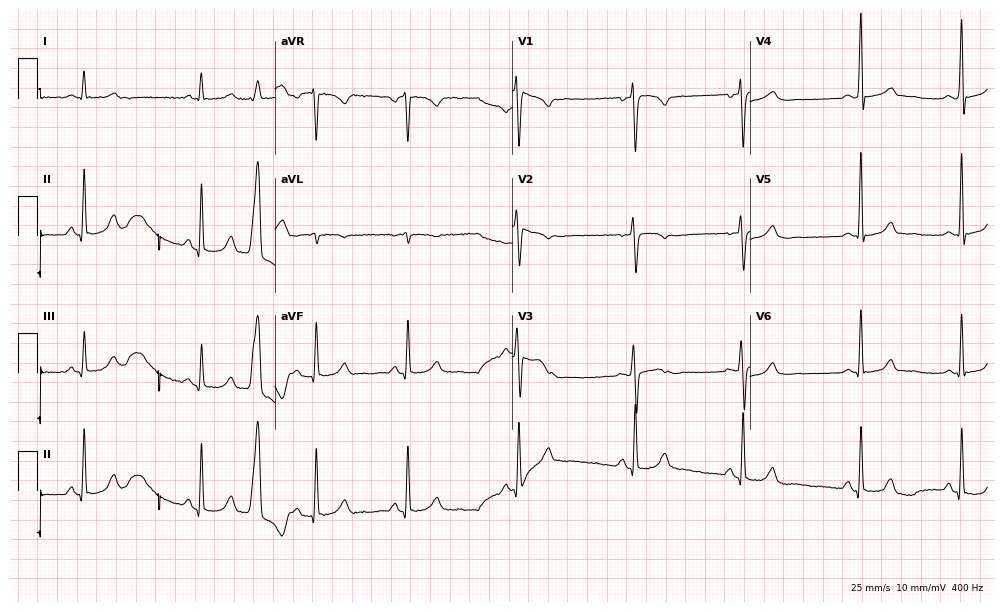
Standard 12-lead ECG recorded from a female, 50 years old (9.7-second recording at 400 Hz). None of these six findings is recorded: first-degree AV block, right bundle branch block, left bundle branch block, sinus bradycardia, atrial fibrillation, sinus tachycardia.